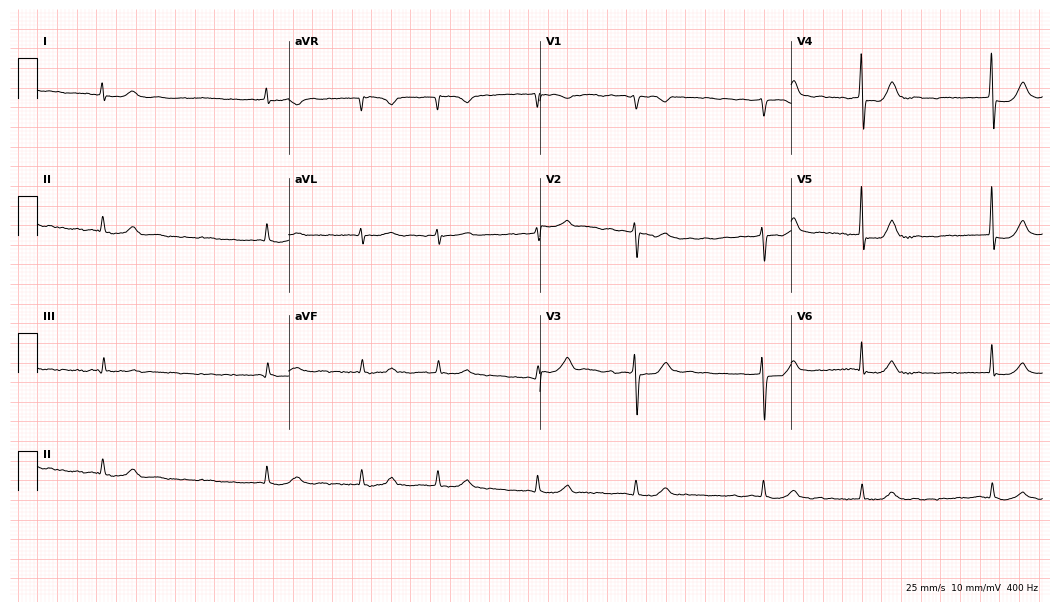
ECG — a 77-year-old male patient. Findings include atrial fibrillation.